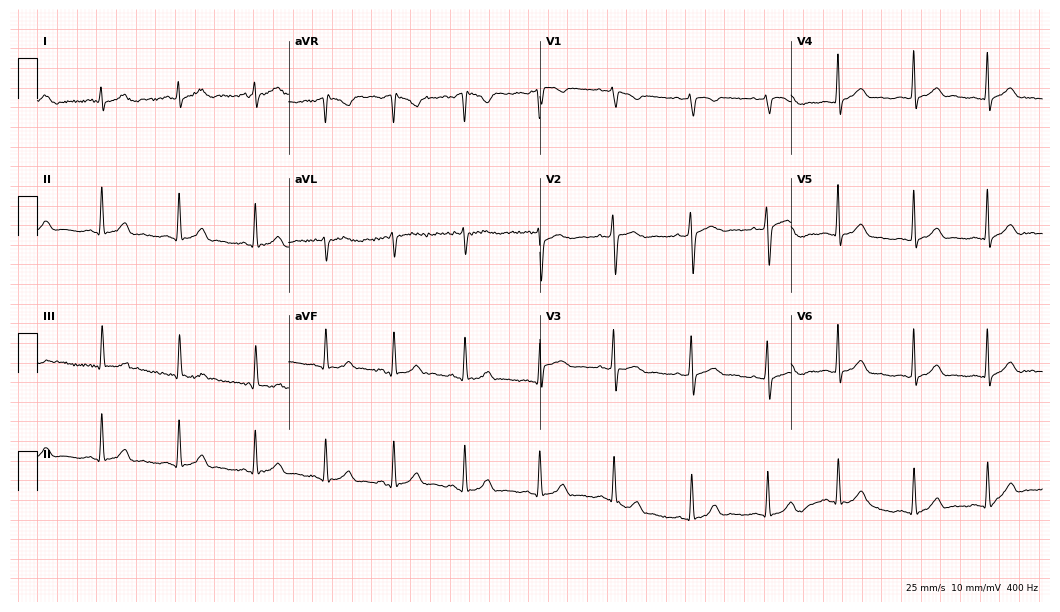
ECG (10.2-second recording at 400 Hz) — a woman, 22 years old. Screened for six findings — first-degree AV block, right bundle branch block (RBBB), left bundle branch block (LBBB), sinus bradycardia, atrial fibrillation (AF), sinus tachycardia — none is recorded.